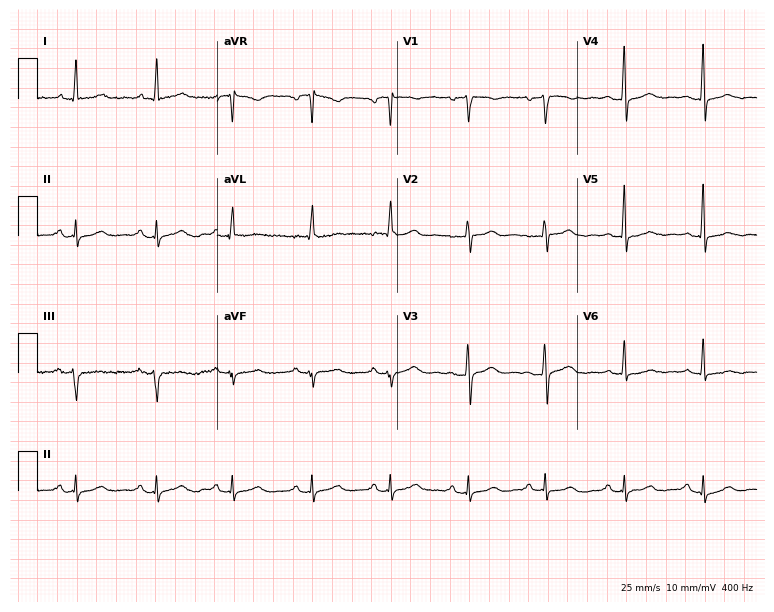
Standard 12-lead ECG recorded from a woman, 52 years old. None of these six findings is recorded: first-degree AV block, right bundle branch block, left bundle branch block, sinus bradycardia, atrial fibrillation, sinus tachycardia. Only these six findings were labelled.